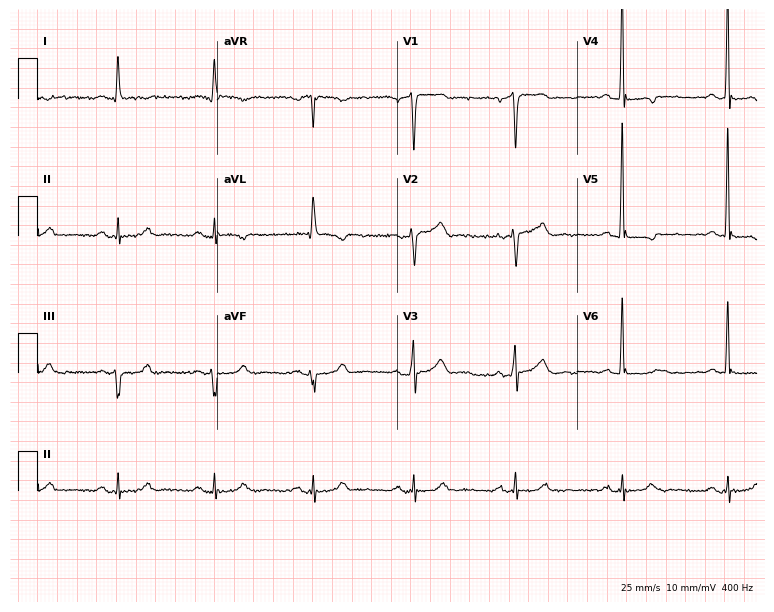
12-lead ECG from a male, 66 years old. No first-degree AV block, right bundle branch block, left bundle branch block, sinus bradycardia, atrial fibrillation or sinus tachycardia recorded for this tracing. Other findings, if any, are not listed.